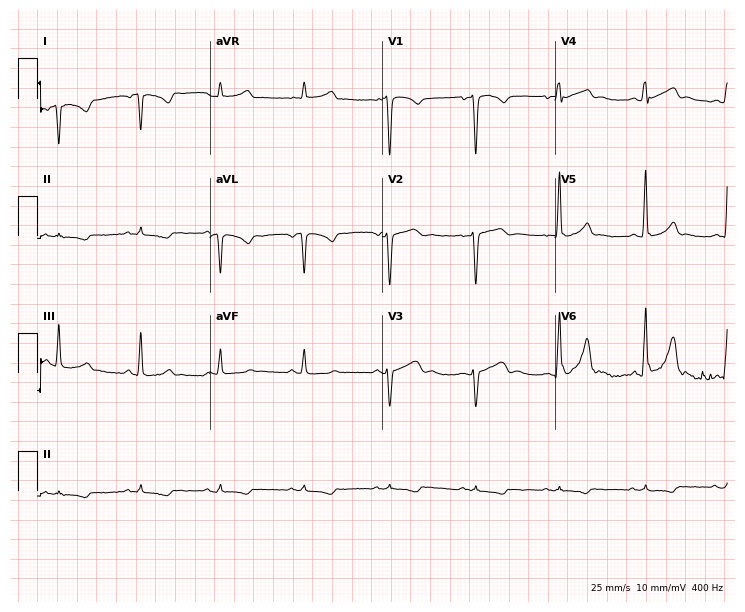
12-lead ECG from a female patient, 38 years old. No first-degree AV block, right bundle branch block, left bundle branch block, sinus bradycardia, atrial fibrillation or sinus tachycardia recorded for this tracing. Other findings, if any, are not listed.